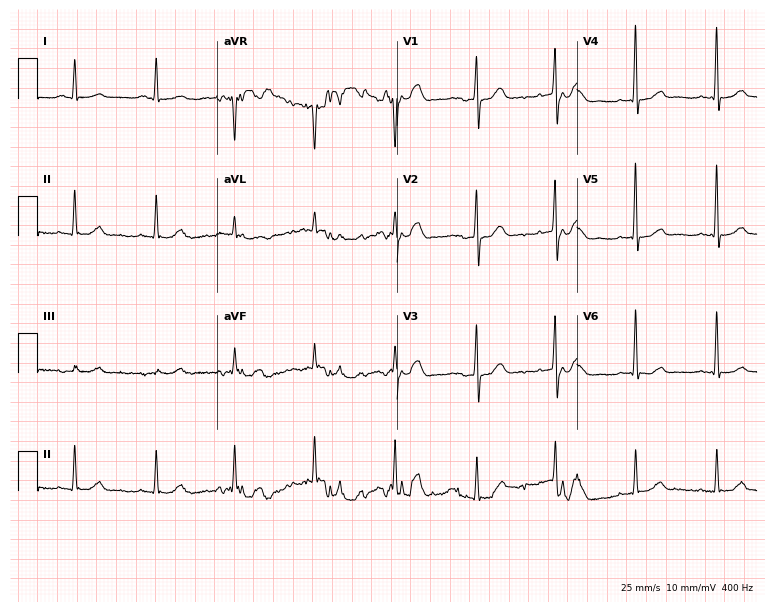
12-lead ECG from a male, 66 years old. Labelled as a normal ECG.